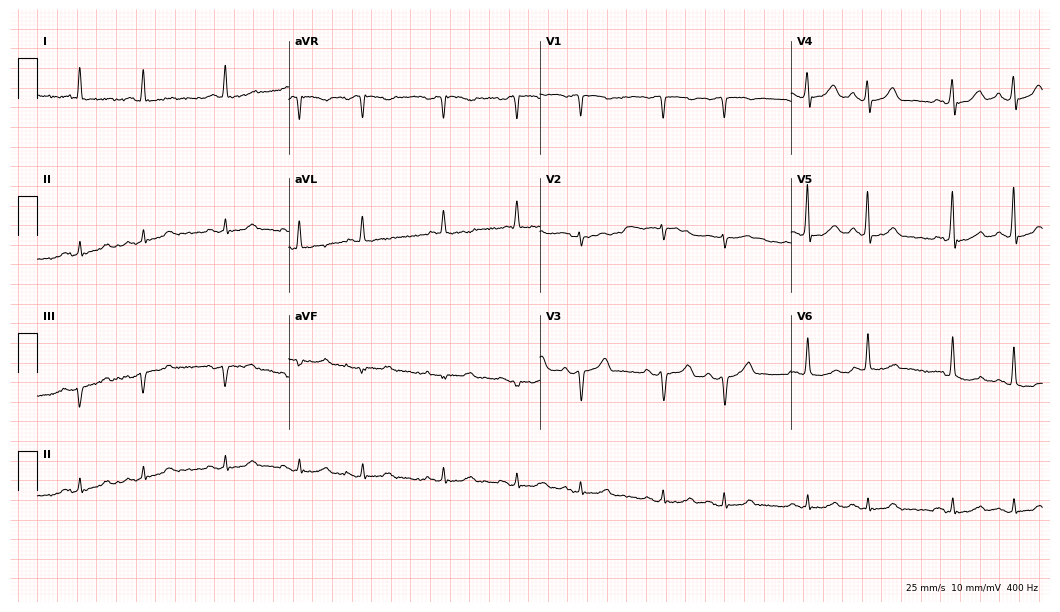
12-lead ECG (10.2-second recording at 400 Hz) from a 69-year-old man. Screened for six findings — first-degree AV block, right bundle branch block, left bundle branch block, sinus bradycardia, atrial fibrillation, sinus tachycardia — none is recorded. Findings outside these six are not listed.